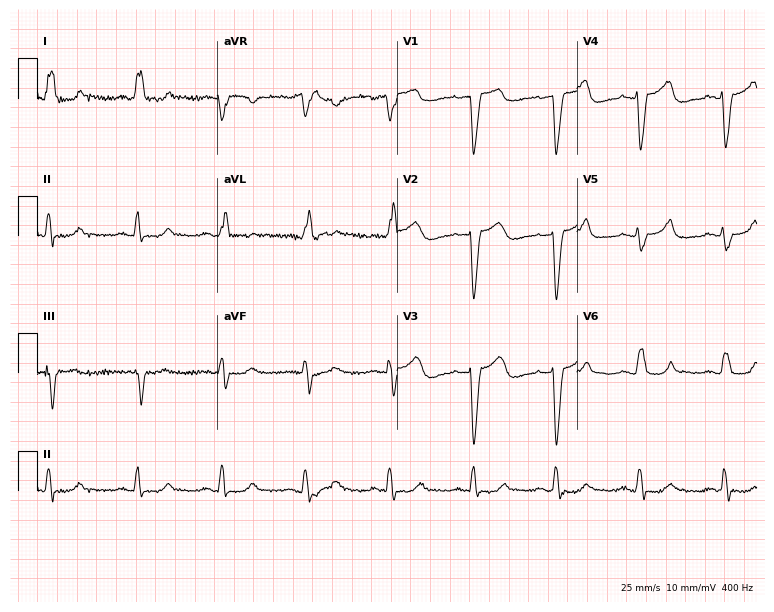
12-lead ECG (7.3-second recording at 400 Hz) from an 81-year-old woman. Findings include left bundle branch block.